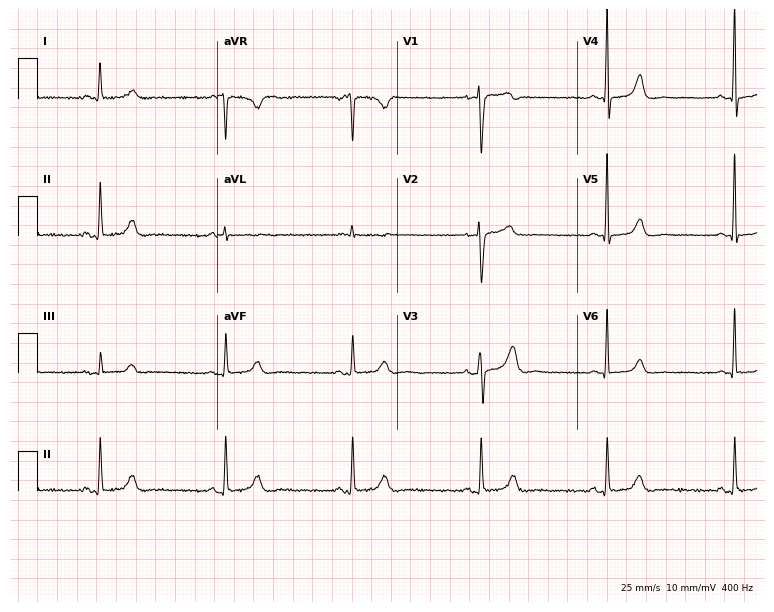
Electrocardiogram (7.3-second recording at 400 Hz), a 57-year-old female. Of the six screened findings (first-degree AV block, right bundle branch block, left bundle branch block, sinus bradycardia, atrial fibrillation, sinus tachycardia), none is recorded.